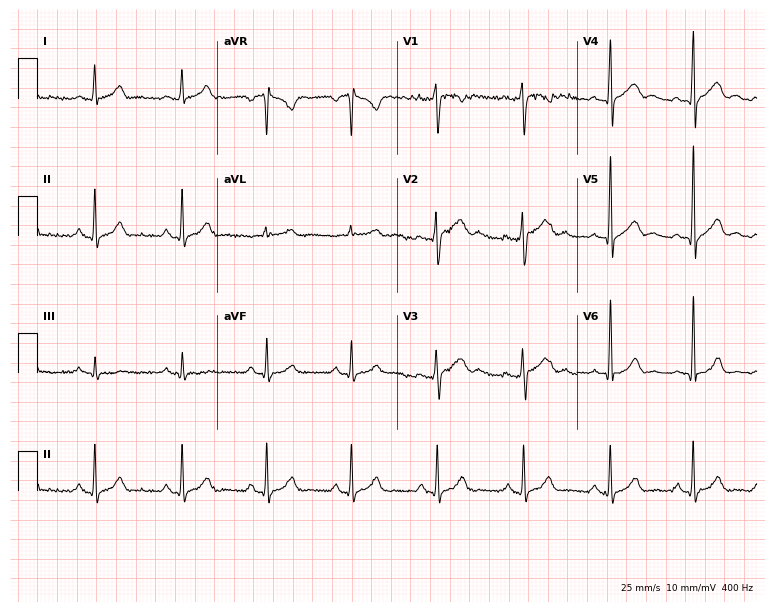
12-lead ECG (7.3-second recording at 400 Hz) from a man, 25 years old. Screened for six findings — first-degree AV block, right bundle branch block, left bundle branch block, sinus bradycardia, atrial fibrillation, sinus tachycardia — none is recorded. Other findings, if any, are not listed.